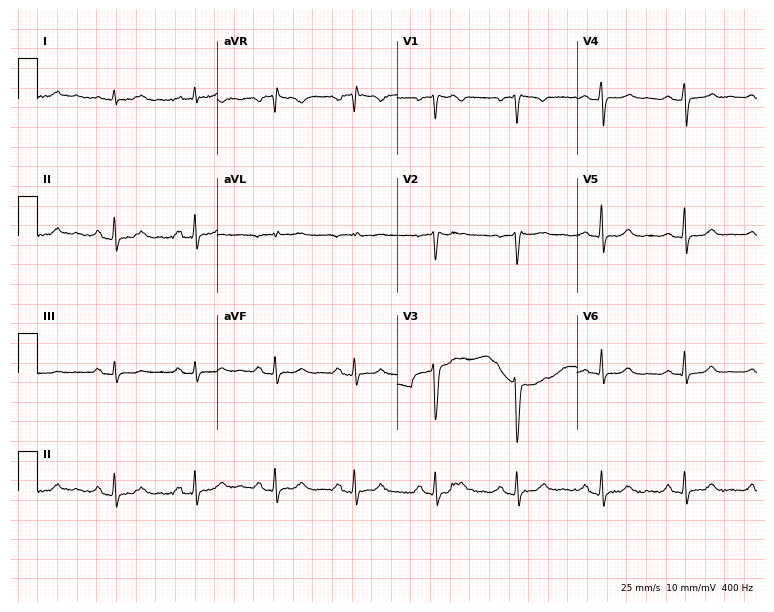
12-lead ECG (7.3-second recording at 400 Hz) from a 46-year-old female. Labelled as a normal ECG.